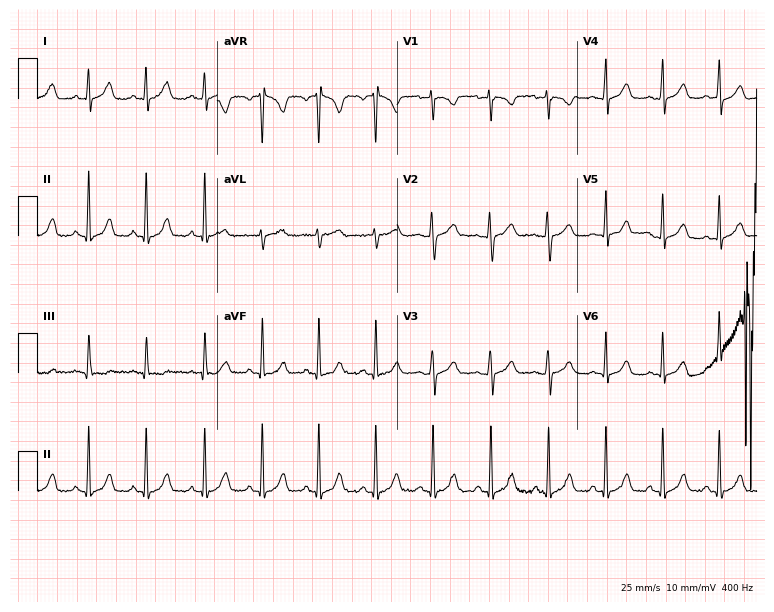
Electrocardiogram (7.3-second recording at 400 Hz), a female patient, 29 years old. Of the six screened findings (first-degree AV block, right bundle branch block (RBBB), left bundle branch block (LBBB), sinus bradycardia, atrial fibrillation (AF), sinus tachycardia), none is recorded. Other findings, if any, are not listed.